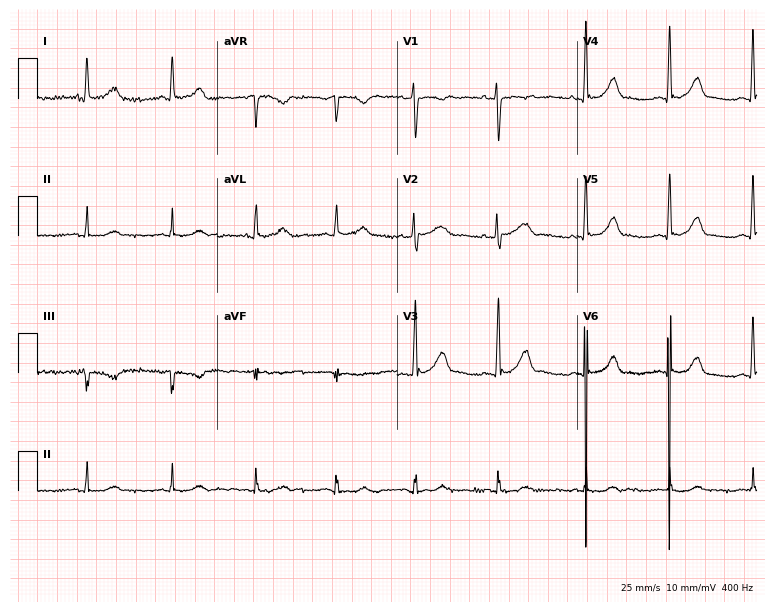
12-lead ECG from a female patient, 39 years old. Screened for six findings — first-degree AV block, right bundle branch block, left bundle branch block, sinus bradycardia, atrial fibrillation, sinus tachycardia — none is recorded.